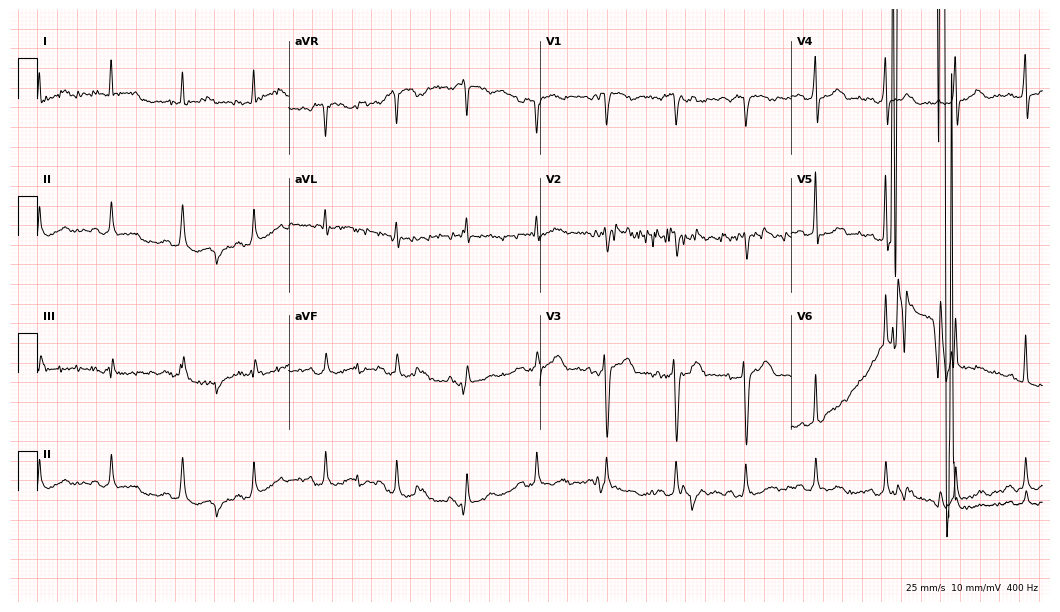
12-lead ECG from a male patient, 71 years old (10.2-second recording at 400 Hz). No first-degree AV block, right bundle branch block, left bundle branch block, sinus bradycardia, atrial fibrillation or sinus tachycardia recorded for this tracing.